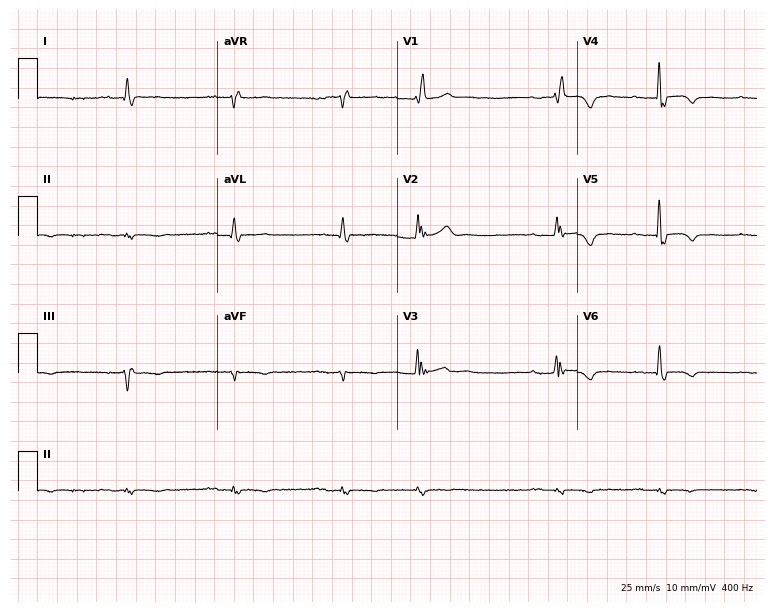
12-lead ECG from a man, 59 years old. Shows first-degree AV block.